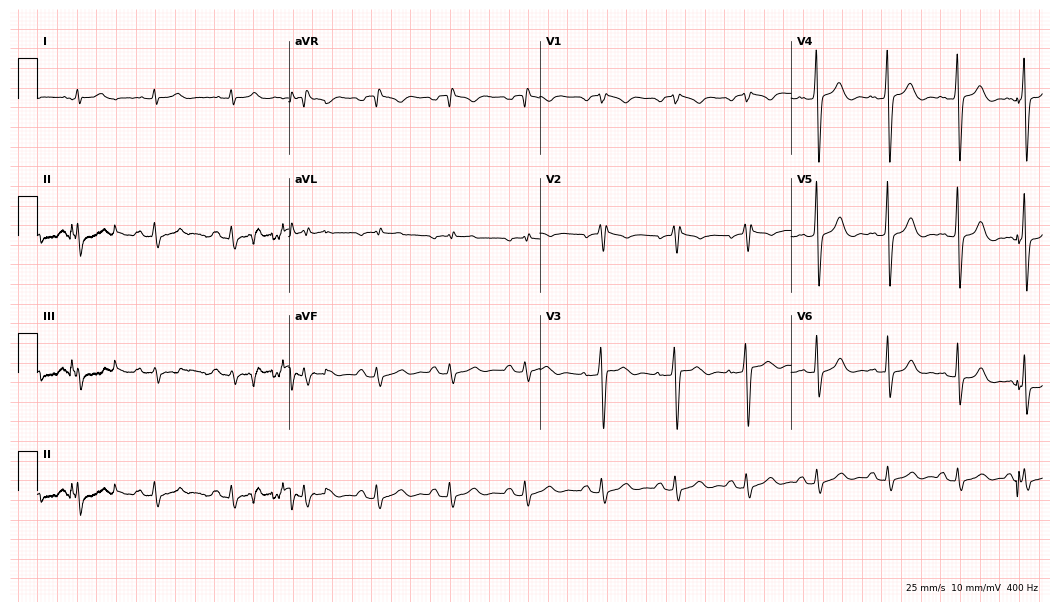
Standard 12-lead ECG recorded from a 41-year-old male patient. None of these six findings is recorded: first-degree AV block, right bundle branch block, left bundle branch block, sinus bradycardia, atrial fibrillation, sinus tachycardia.